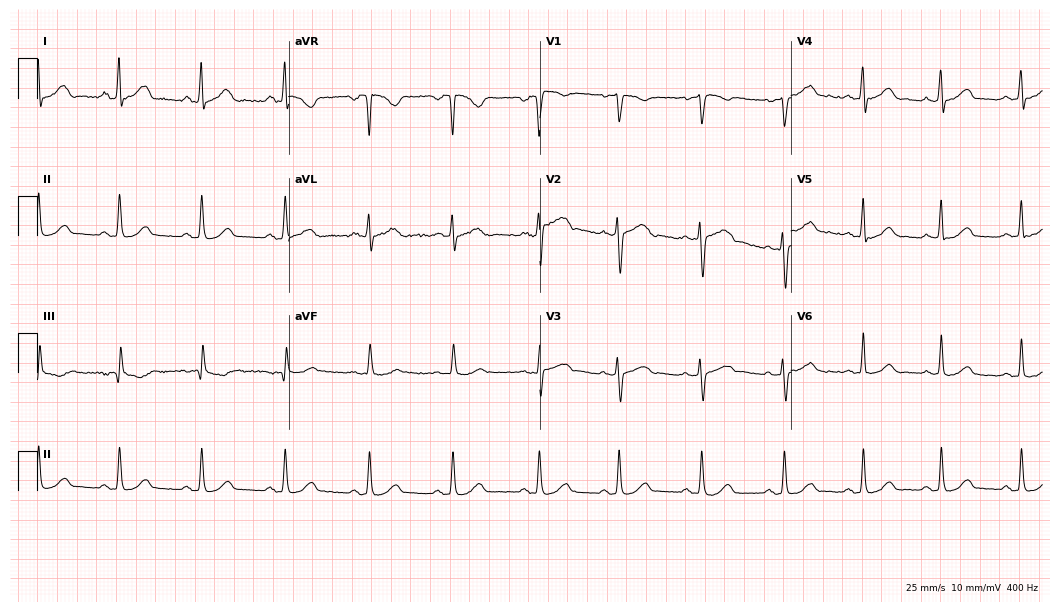
Electrocardiogram (10.2-second recording at 400 Hz), a 34-year-old woman. Overall reading on record: normal ECG.